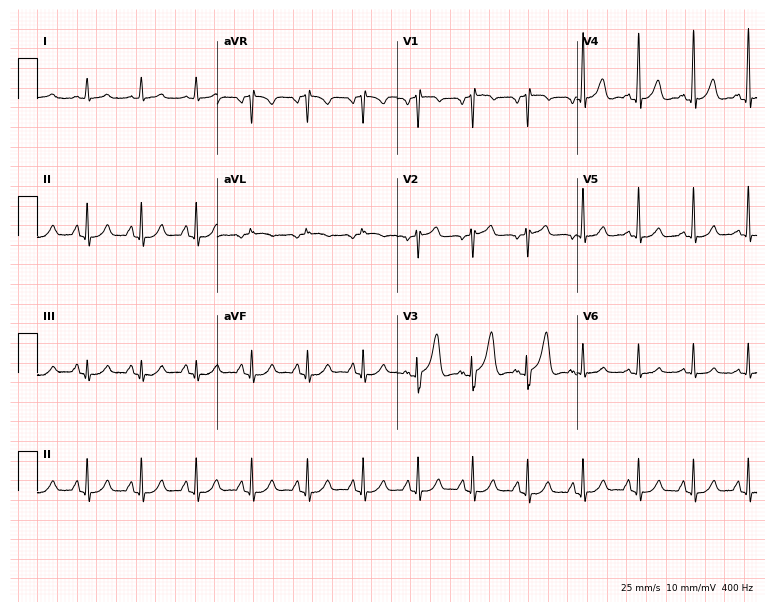
Electrocardiogram (7.3-second recording at 400 Hz), a 70-year-old male patient. Interpretation includes sinus tachycardia (a sinus rate of 100 beats per minute or more).